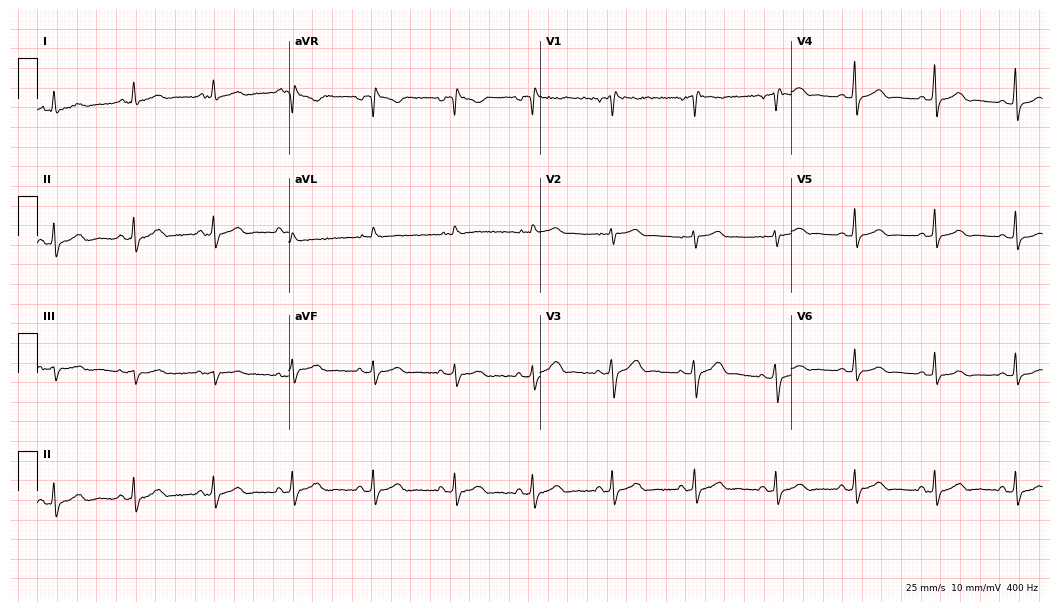
12-lead ECG from a 50-year-old female (10.2-second recording at 400 Hz). No first-degree AV block, right bundle branch block, left bundle branch block, sinus bradycardia, atrial fibrillation or sinus tachycardia recorded for this tracing. Other findings, if any, are not listed.